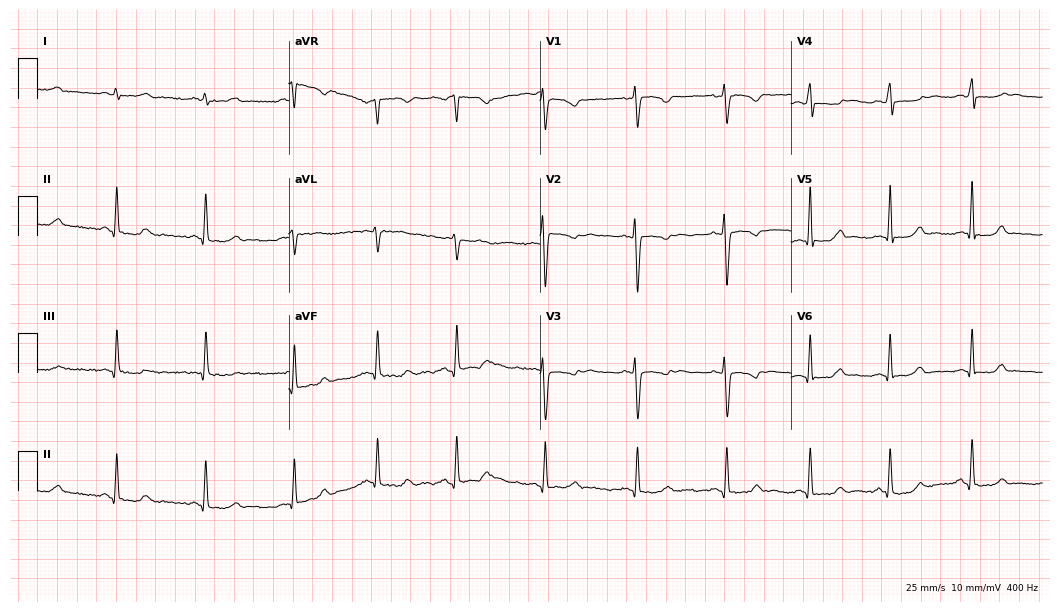
Electrocardiogram (10.2-second recording at 400 Hz), a female patient, 30 years old. Of the six screened findings (first-degree AV block, right bundle branch block, left bundle branch block, sinus bradycardia, atrial fibrillation, sinus tachycardia), none is recorded. Other findings, if any, are not listed.